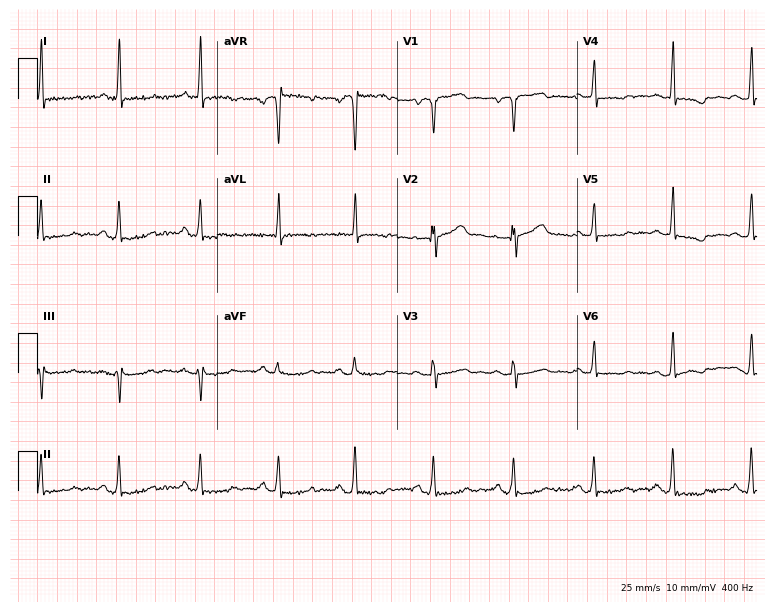
Resting 12-lead electrocardiogram. Patient: a female, 51 years old. None of these six findings is recorded: first-degree AV block, right bundle branch block, left bundle branch block, sinus bradycardia, atrial fibrillation, sinus tachycardia. Findings outside these six are not listed.